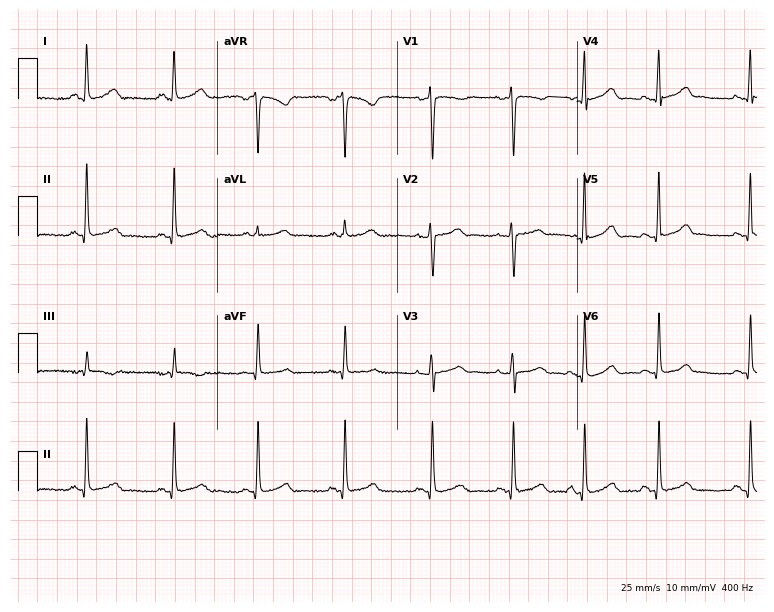
ECG (7.3-second recording at 400 Hz) — a 39-year-old woman. Labelled as a normal ECG.